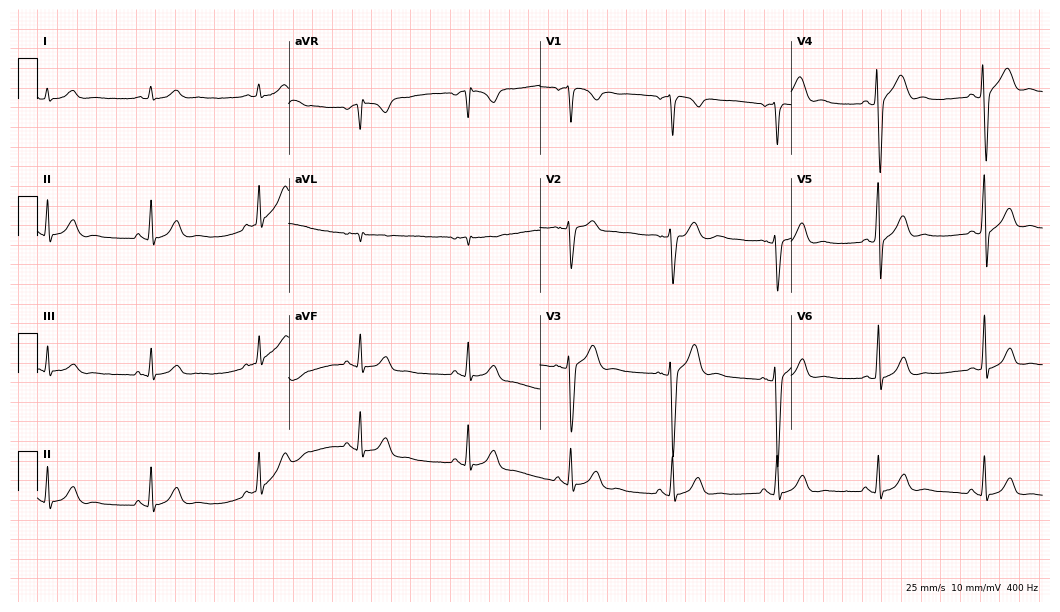
ECG — a male, 23 years old. Labelled as a normal ECG.